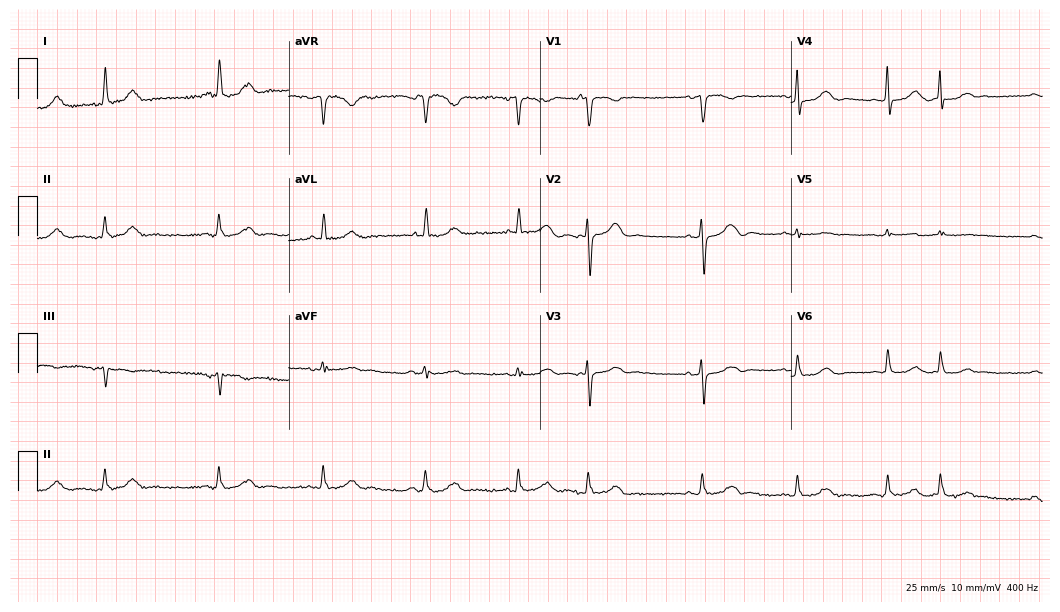
Resting 12-lead electrocardiogram (10.2-second recording at 400 Hz). Patient: a 77-year-old female. None of these six findings is recorded: first-degree AV block, right bundle branch block, left bundle branch block, sinus bradycardia, atrial fibrillation, sinus tachycardia. Findings outside these six are not listed.